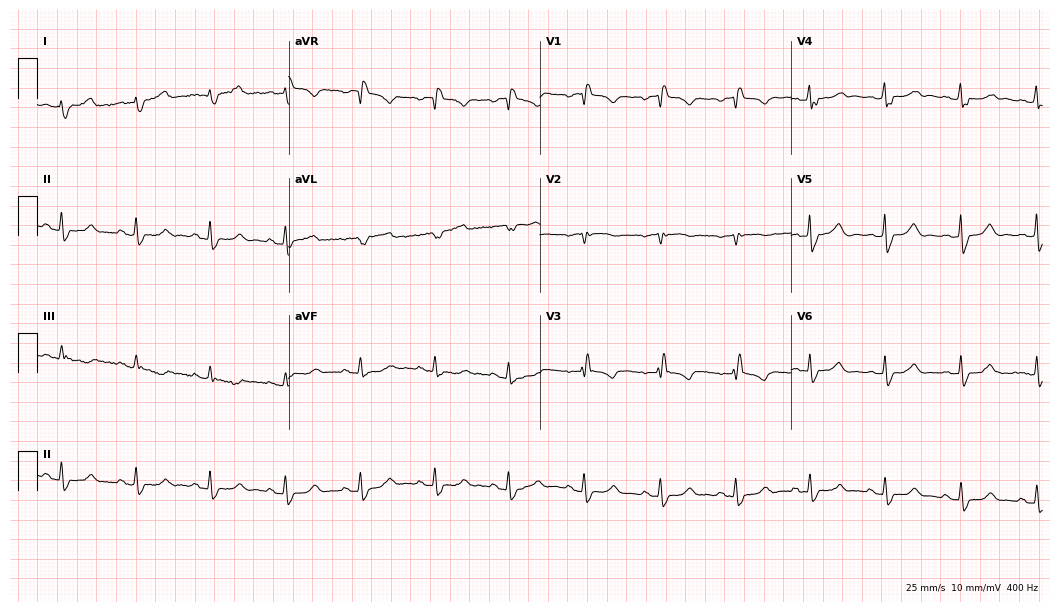
12-lead ECG from a female patient, 67 years old. Shows right bundle branch block.